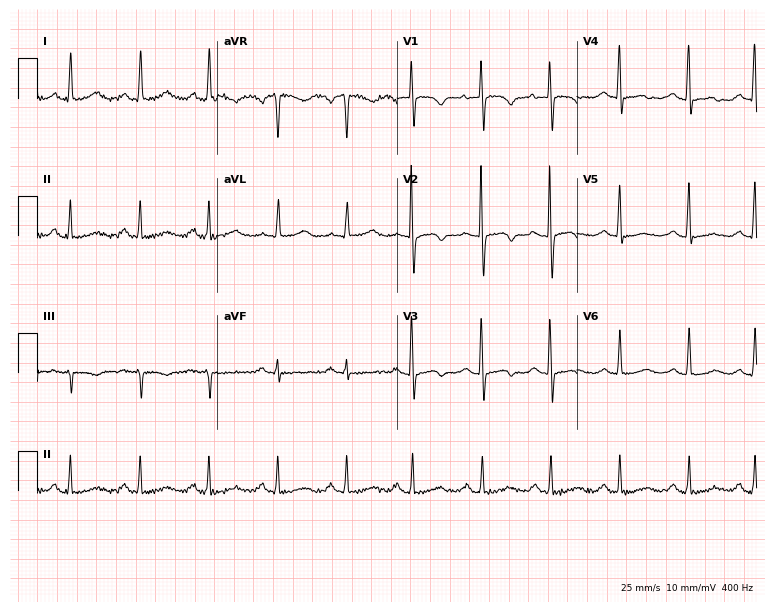
Standard 12-lead ECG recorded from a 73-year-old female (7.3-second recording at 400 Hz). None of these six findings is recorded: first-degree AV block, right bundle branch block (RBBB), left bundle branch block (LBBB), sinus bradycardia, atrial fibrillation (AF), sinus tachycardia. Only these six findings were labelled.